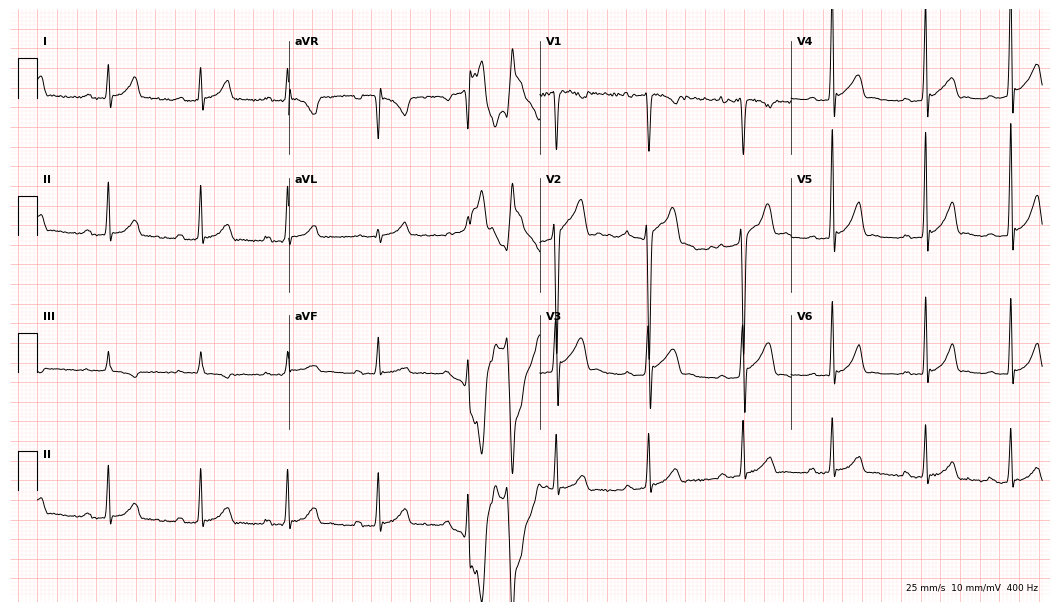
ECG (10.2-second recording at 400 Hz) — a male patient, 17 years old. Labelled as a normal ECG.